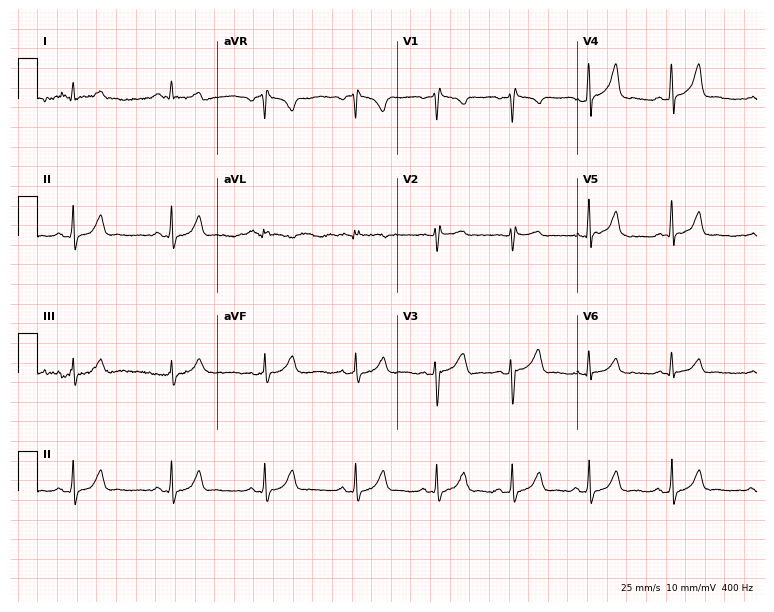
12-lead ECG from a 30-year-old woman. Screened for six findings — first-degree AV block, right bundle branch block, left bundle branch block, sinus bradycardia, atrial fibrillation, sinus tachycardia — none is recorded.